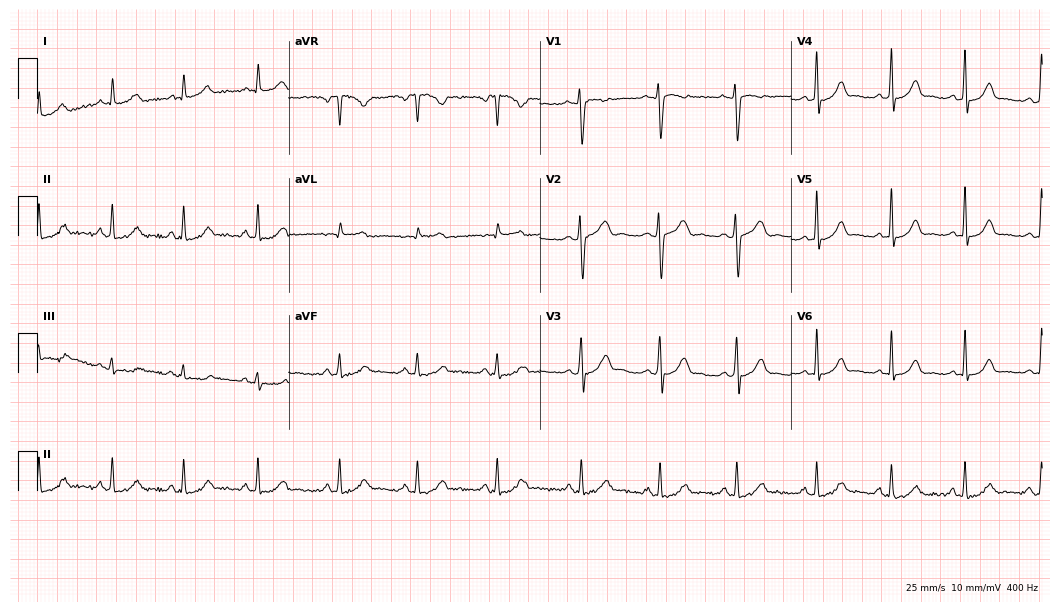
Standard 12-lead ECG recorded from a female patient, 20 years old (10.2-second recording at 400 Hz). Read as a normal ECG.